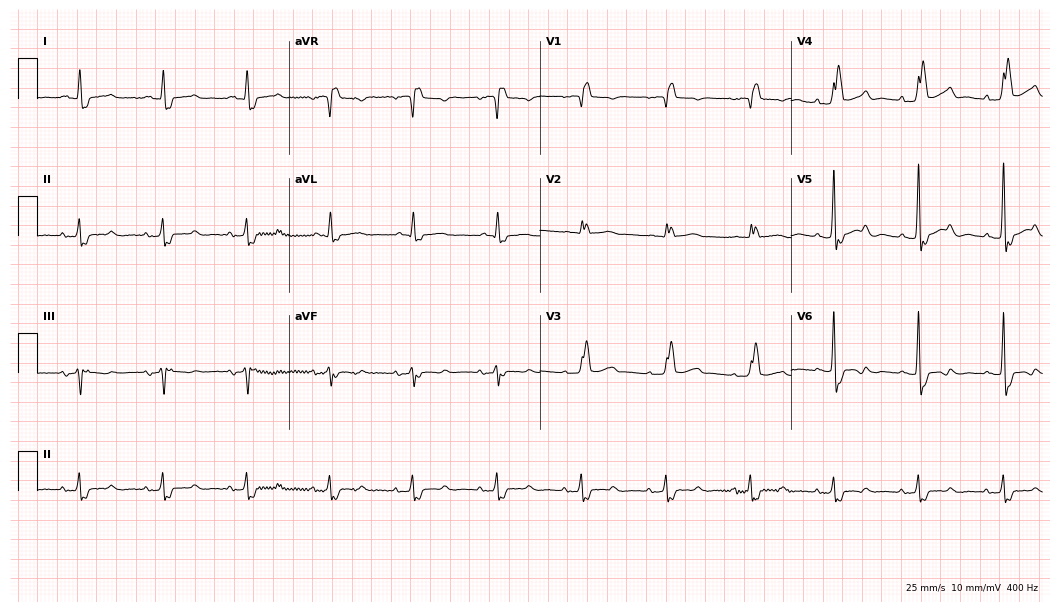
ECG (10.2-second recording at 400 Hz) — a man, 81 years old. Findings include right bundle branch block.